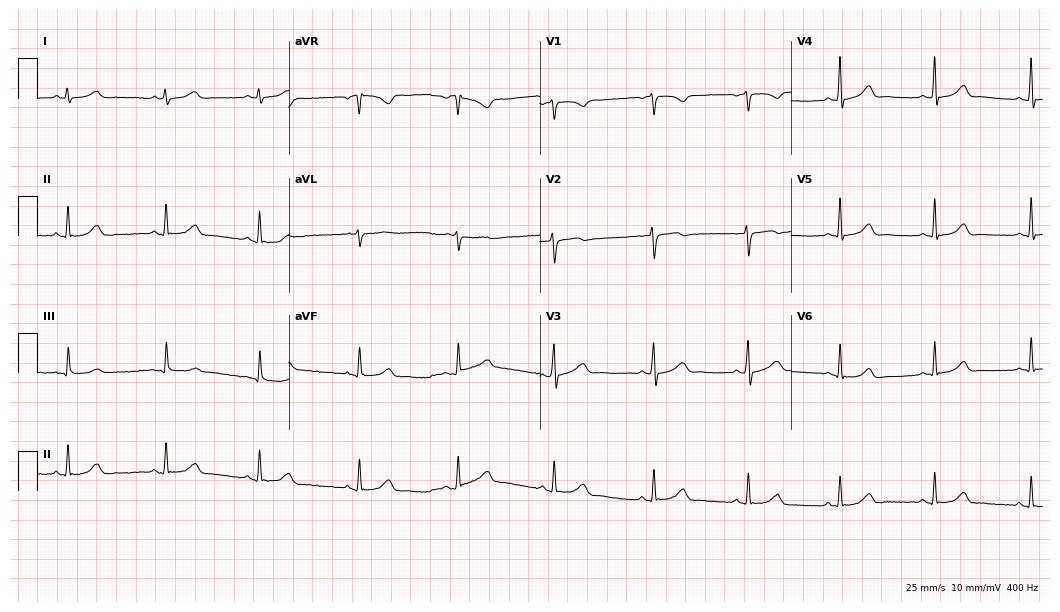
Electrocardiogram, a female patient, 35 years old. Overall reading on record: normal ECG.